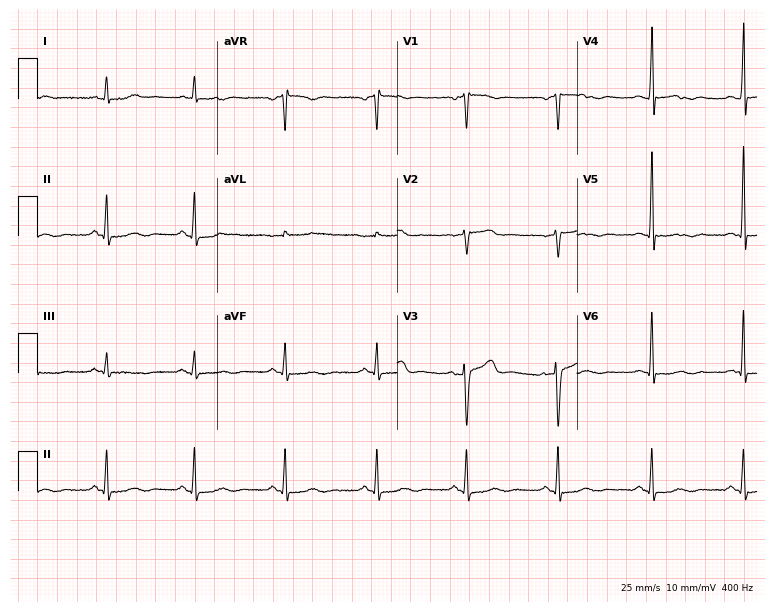
Resting 12-lead electrocardiogram. Patient: a male, 49 years old. None of these six findings is recorded: first-degree AV block, right bundle branch block, left bundle branch block, sinus bradycardia, atrial fibrillation, sinus tachycardia. Other findings, if any, are not listed.